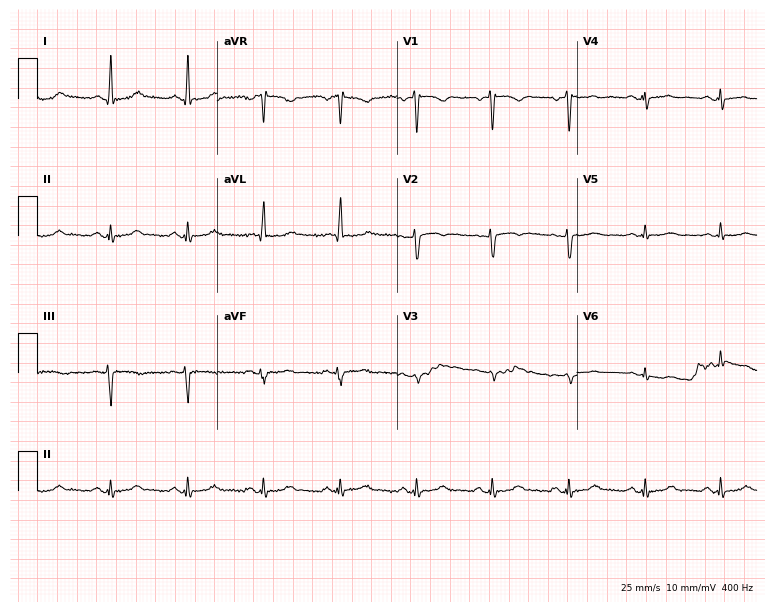
Standard 12-lead ECG recorded from a 56-year-old woman. None of these six findings is recorded: first-degree AV block, right bundle branch block, left bundle branch block, sinus bradycardia, atrial fibrillation, sinus tachycardia. Other findings, if any, are not listed.